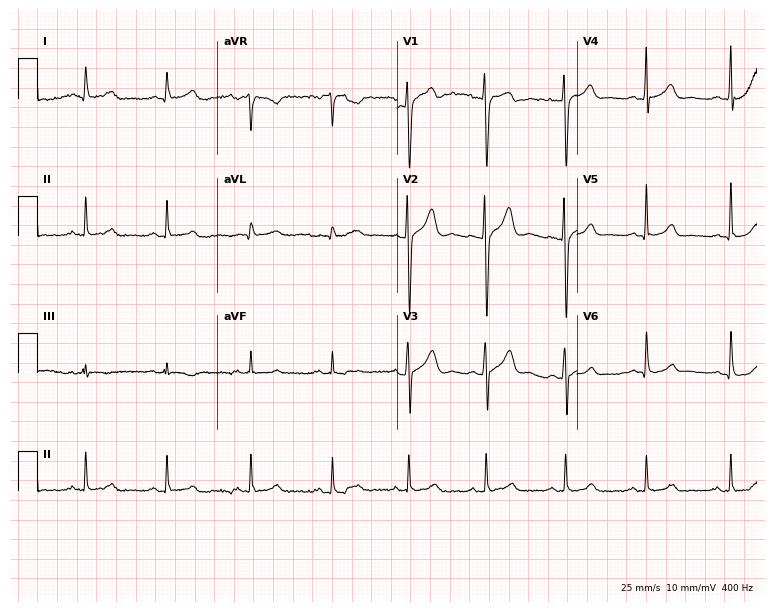
Electrocardiogram, a man, 20 years old. Of the six screened findings (first-degree AV block, right bundle branch block, left bundle branch block, sinus bradycardia, atrial fibrillation, sinus tachycardia), none is recorded.